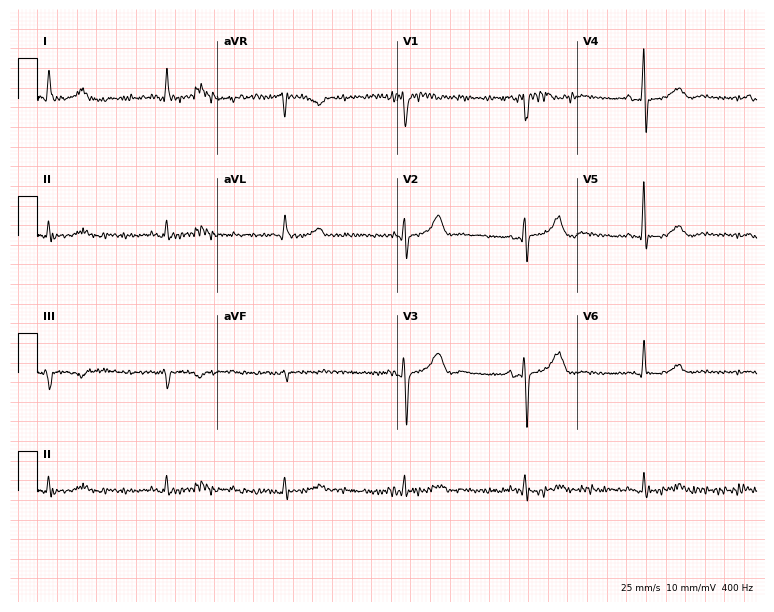
ECG — a 77-year-old male. Screened for six findings — first-degree AV block, right bundle branch block, left bundle branch block, sinus bradycardia, atrial fibrillation, sinus tachycardia — none is recorded. Only these six findings were labelled.